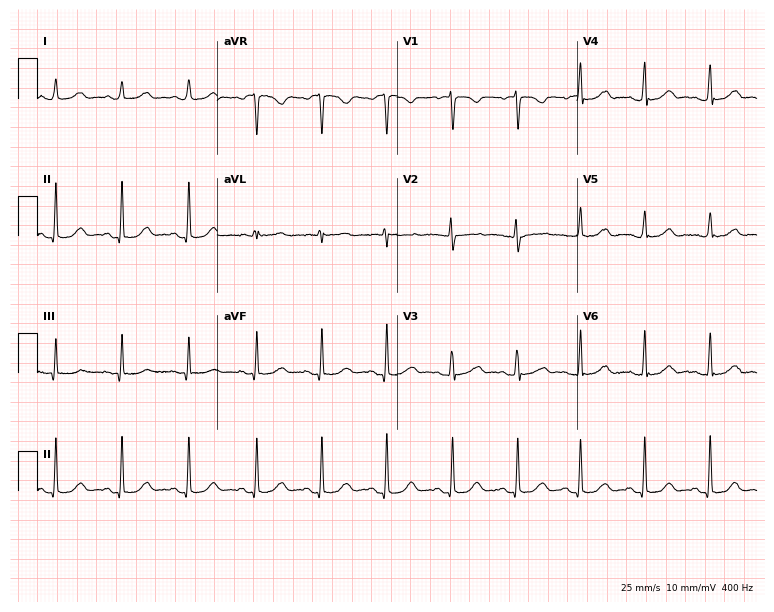
Standard 12-lead ECG recorded from a 36-year-old female patient (7.3-second recording at 400 Hz). Read as a normal ECG.